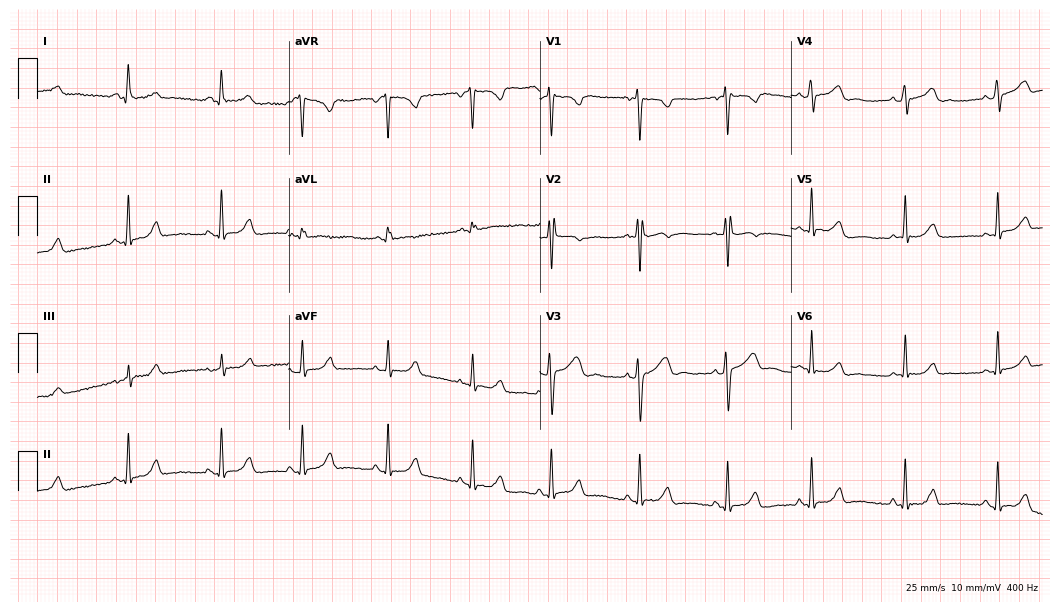
ECG (10.2-second recording at 400 Hz) — a 19-year-old female patient. Labelled as a normal ECG.